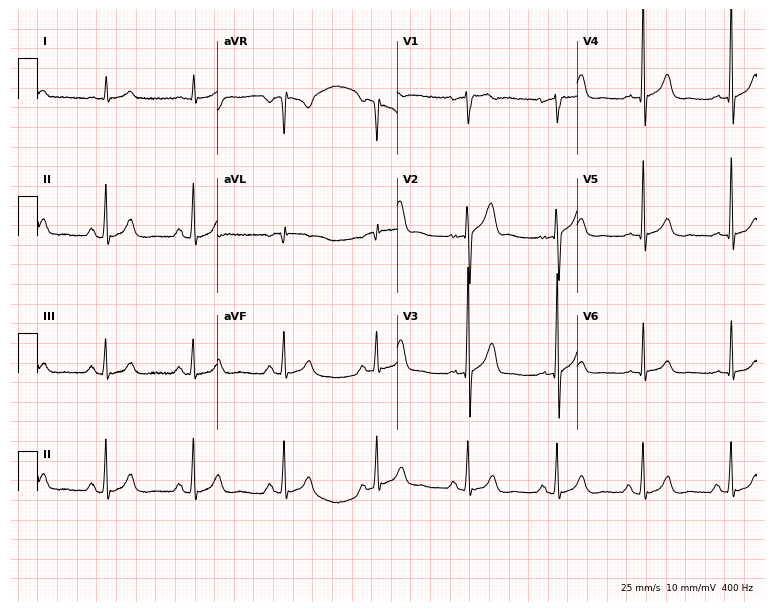
Standard 12-lead ECG recorded from a male, 66 years old (7.3-second recording at 400 Hz). Read as a normal ECG.